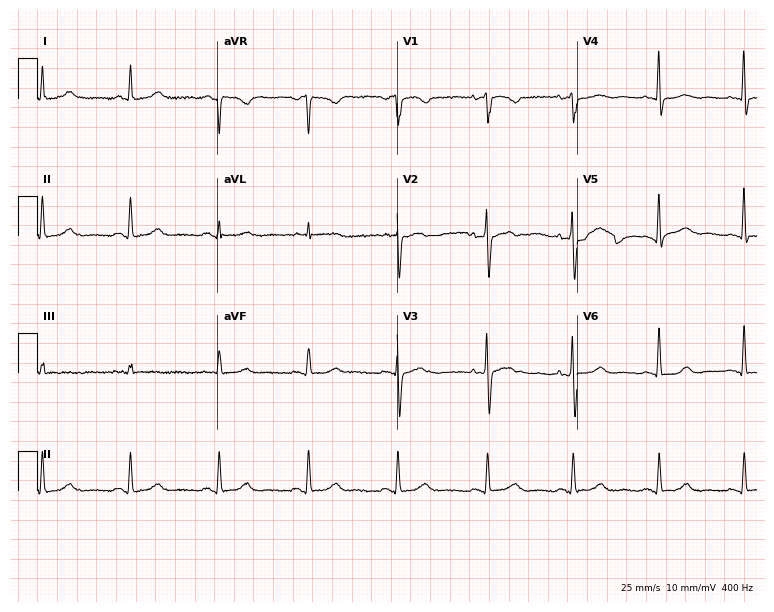
12-lead ECG (7.3-second recording at 400 Hz) from a 68-year-old female. Labelled as a normal ECG.